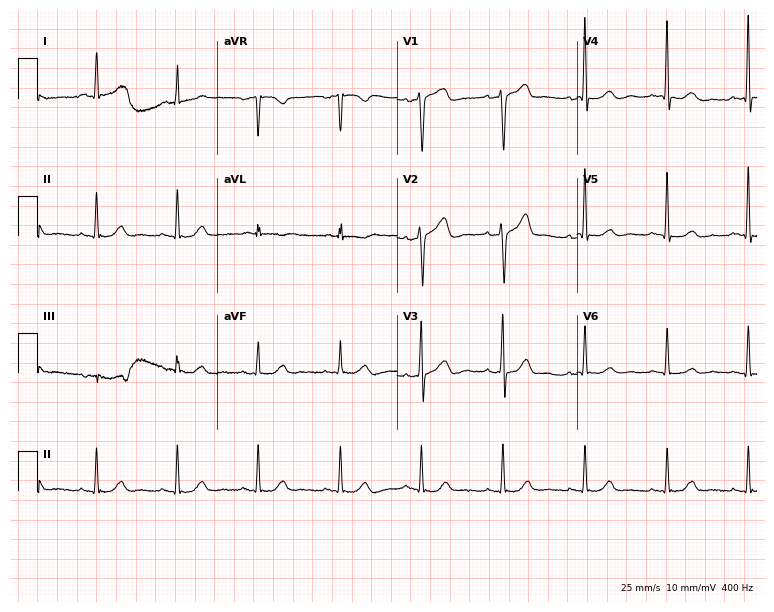
ECG (7.3-second recording at 400 Hz) — a man, 65 years old. Labelled as a normal ECG.